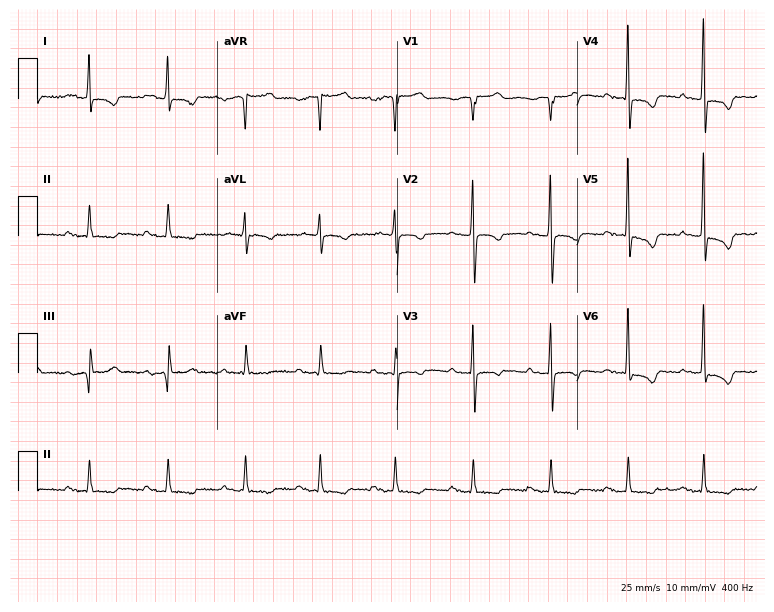
Standard 12-lead ECG recorded from a man, 81 years old. None of these six findings is recorded: first-degree AV block, right bundle branch block, left bundle branch block, sinus bradycardia, atrial fibrillation, sinus tachycardia.